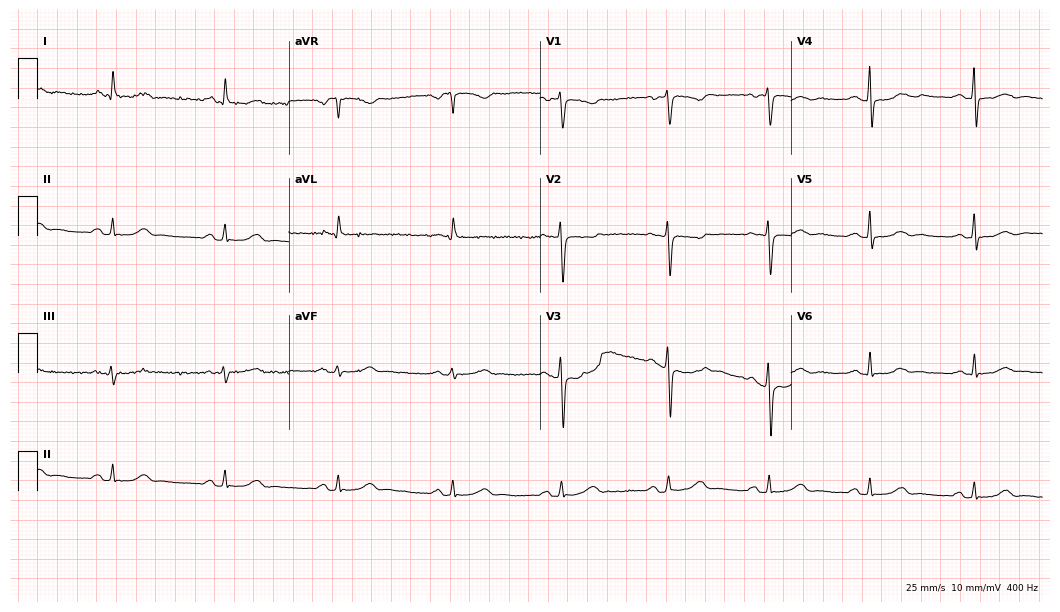
Resting 12-lead electrocardiogram. Patient: a female, 70 years old. None of these six findings is recorded: first-degree AV block, right bundle branch block, left bundle branch block, sinus bradycardia, atrial fibrillation, sinus tachycardia.